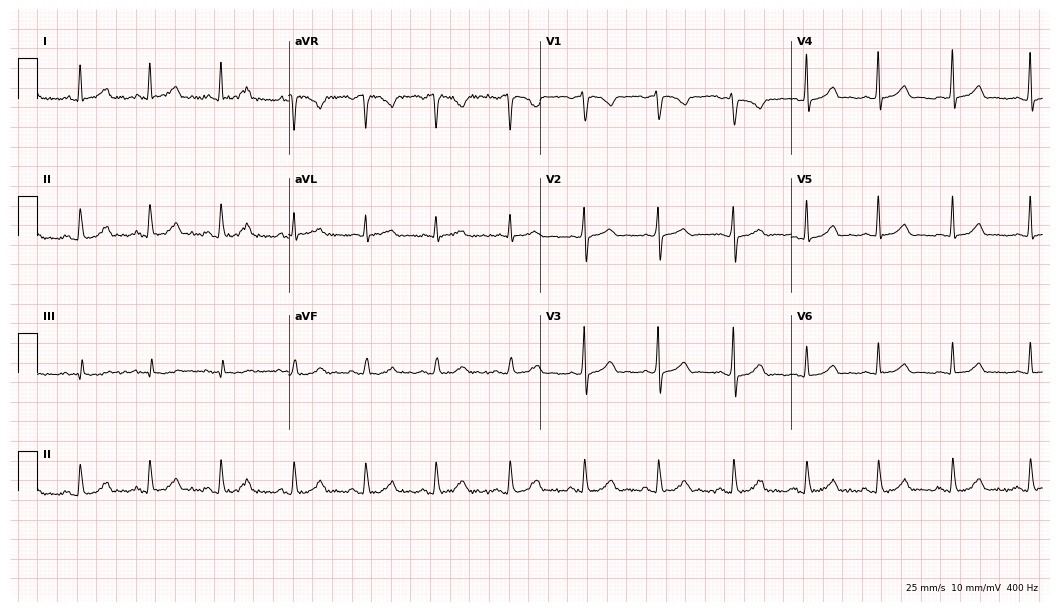
ECG — a female patient, 46 years old. Labelled as a normal ECG.